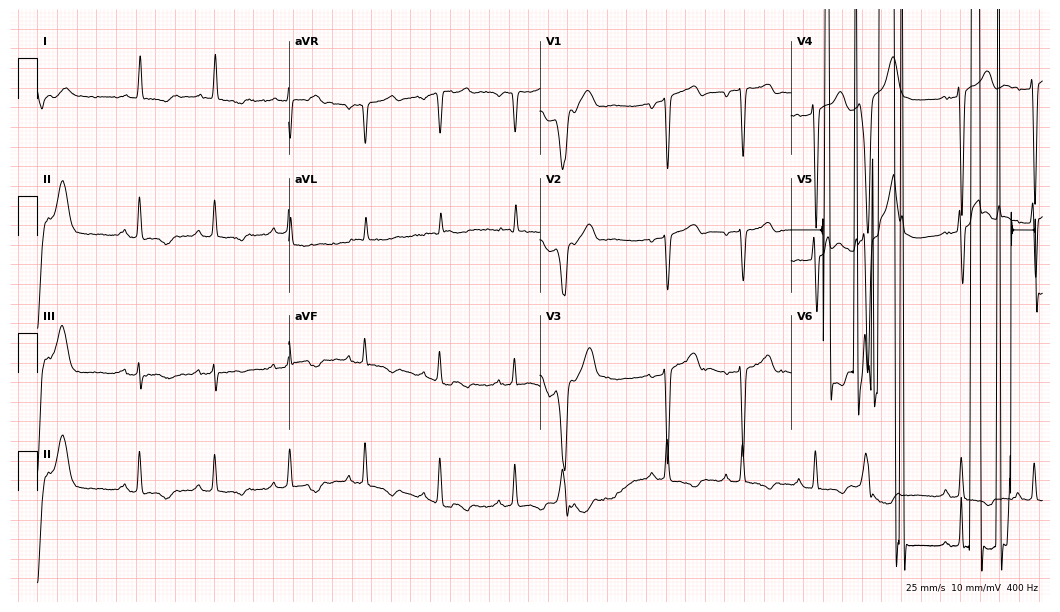
Resting 12-lead electrocardiogram. Patient: a 75-year-old male. None of these six findings is recorded: first-degree AV block, right bundle branch block, left bundle branch block, sinus bradycardia, atrial fibrillation, sinus tachycardia. Other findings, if any, are not listed.